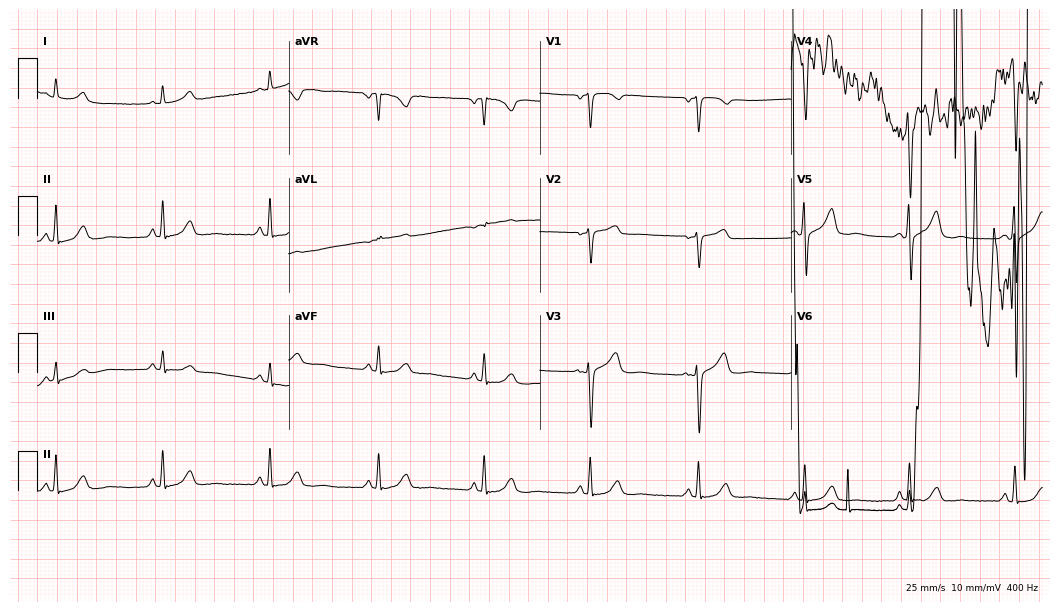
Standard 12-lead ECG recorded from a female patient, 73 years old. None of these six findings is recorded: first-degree AV block, right bundle branch block, left bundle branch block, sinus bradycardia, atrial fibrillation, sinus tachycardia.